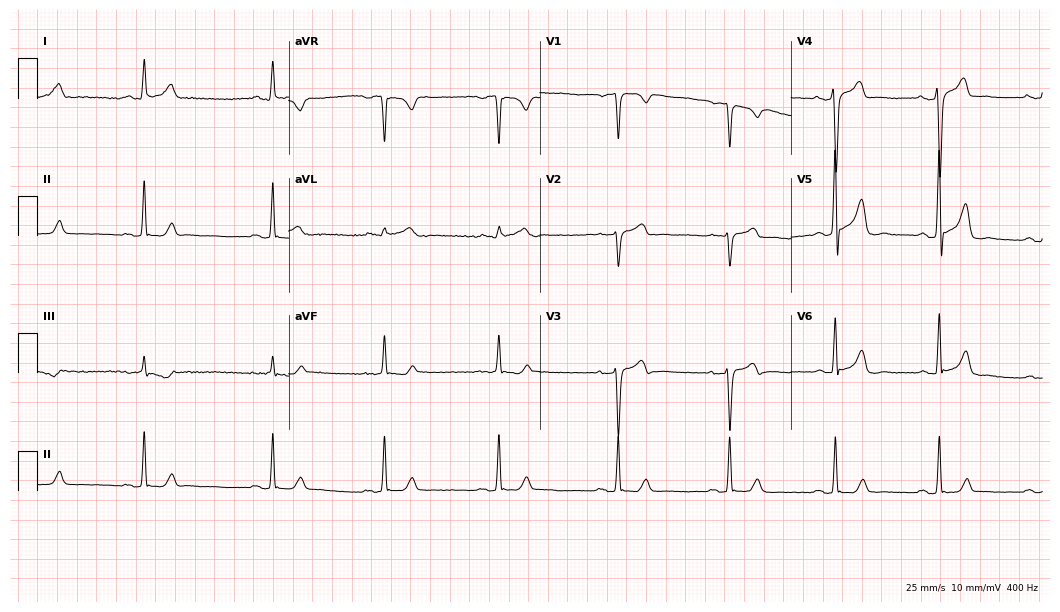
12-lead ECG from a 35-year-old man. Labelled as a normal ECG.